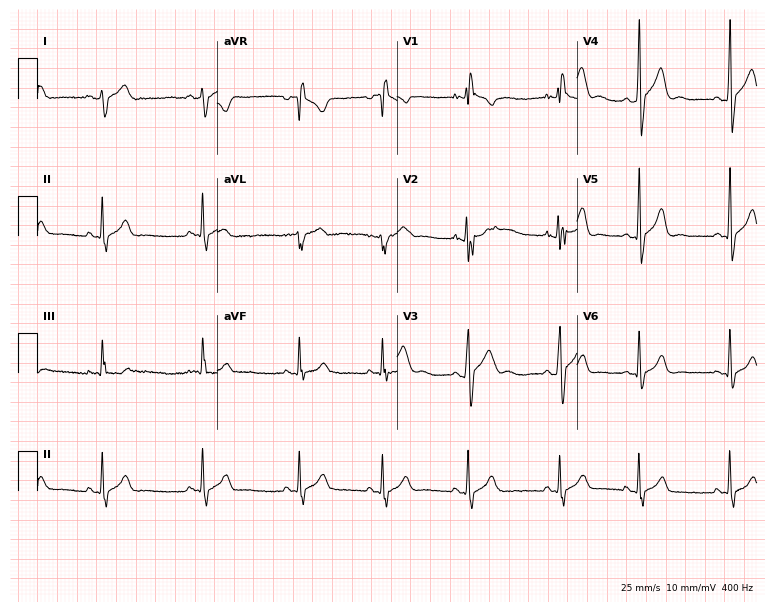
12-lead ECG from a man, 20 years old (7.3-second recording at 400 Hz). No first-degree AV block, right bundle branch block, left bundle branch block, sinus bradycardia, atrial fibrillation or sinus tachycardia recorded for this tracing.